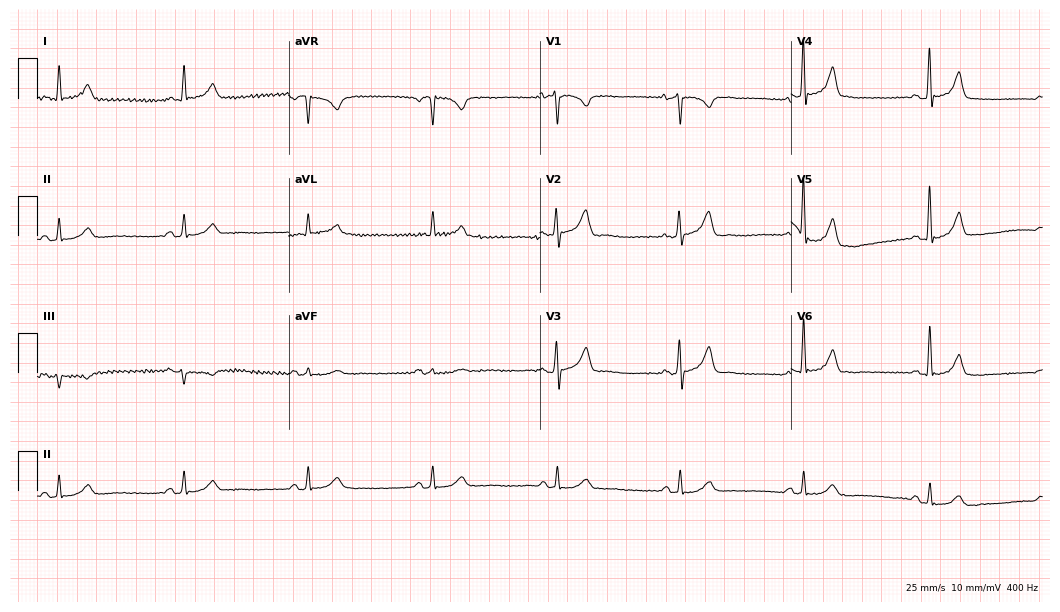
12-lead ECG from a male patient, 66 years old (10.2-second recording at 400 Hz). Shows sinus bradycardia (a sinus rate of 50 beats per minute or less).